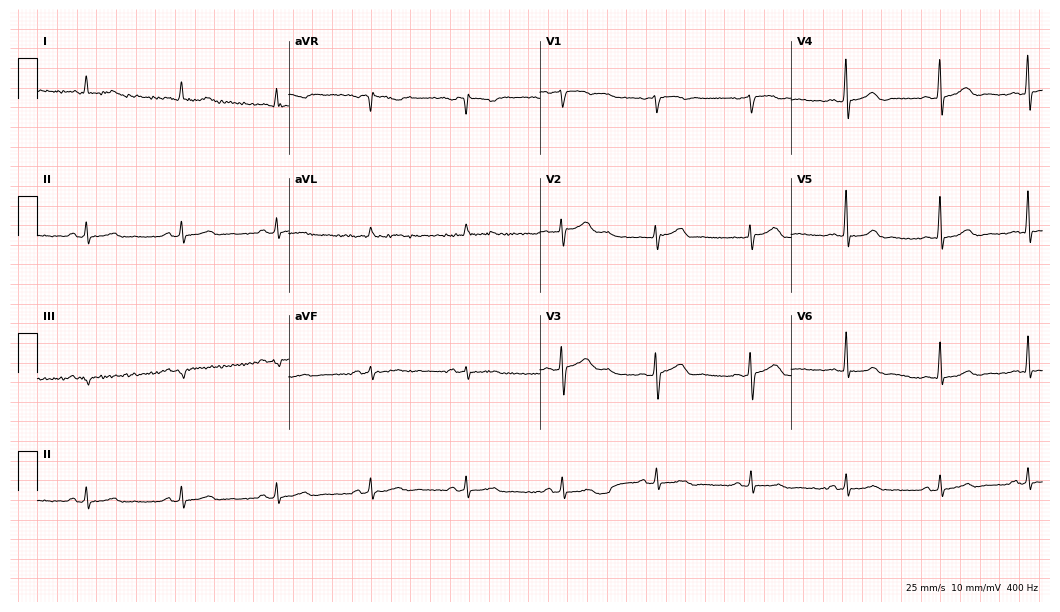
Standard 12-lead ECG recorded from a male, 57 years old (10.2-second recording at 400 Hz). Read as a normal ECG.